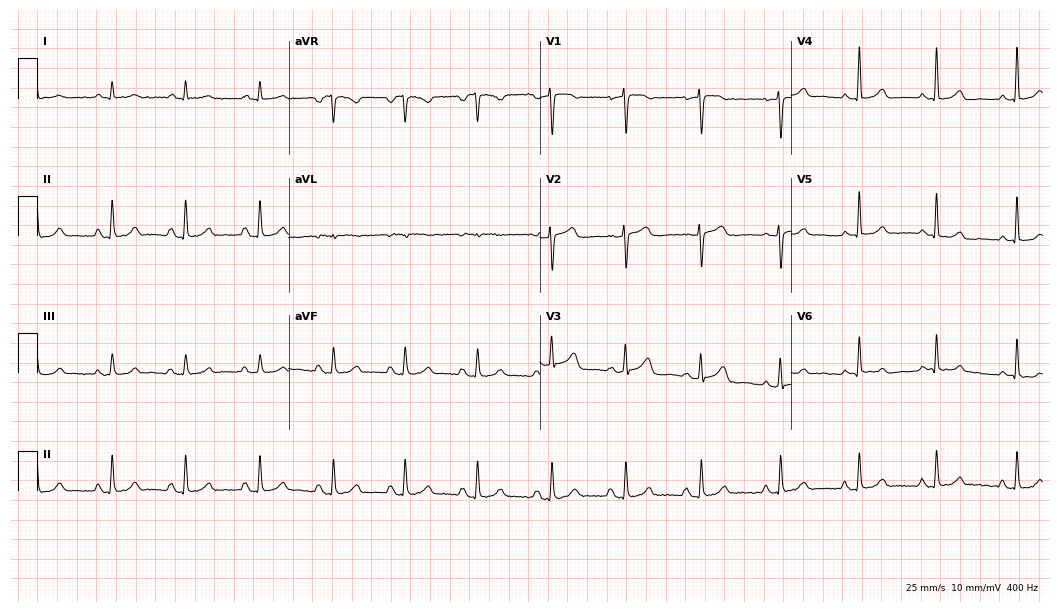
12-lead ECG from a female patient, 48 years old. Labelled as a normal ECG.